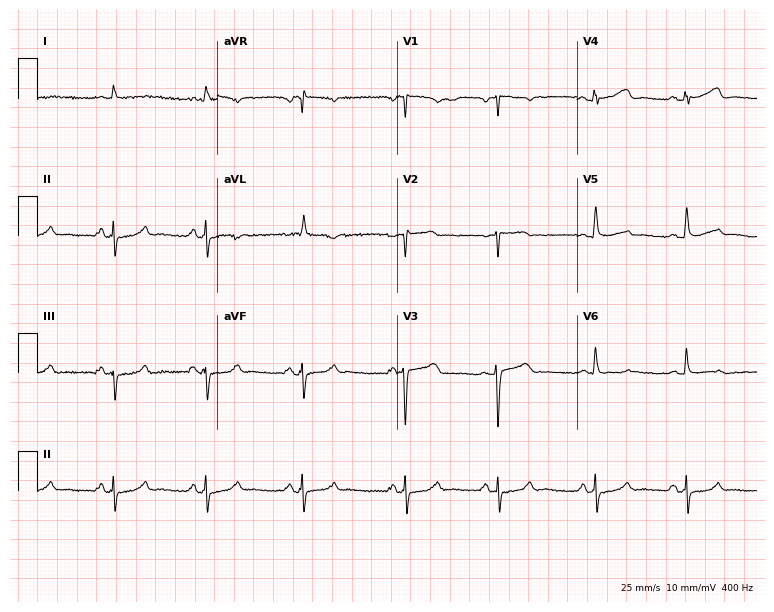
Resting 12-lead electrocardiogram (7.3-second recording at 400 Hz). Patient: a 65-year-old man. None of these six findings is recorded: first-degree AV block, right bundle branch block, left bundle branch block, sinus bradycardia, atrial fibrillation, sinus tachycardia.